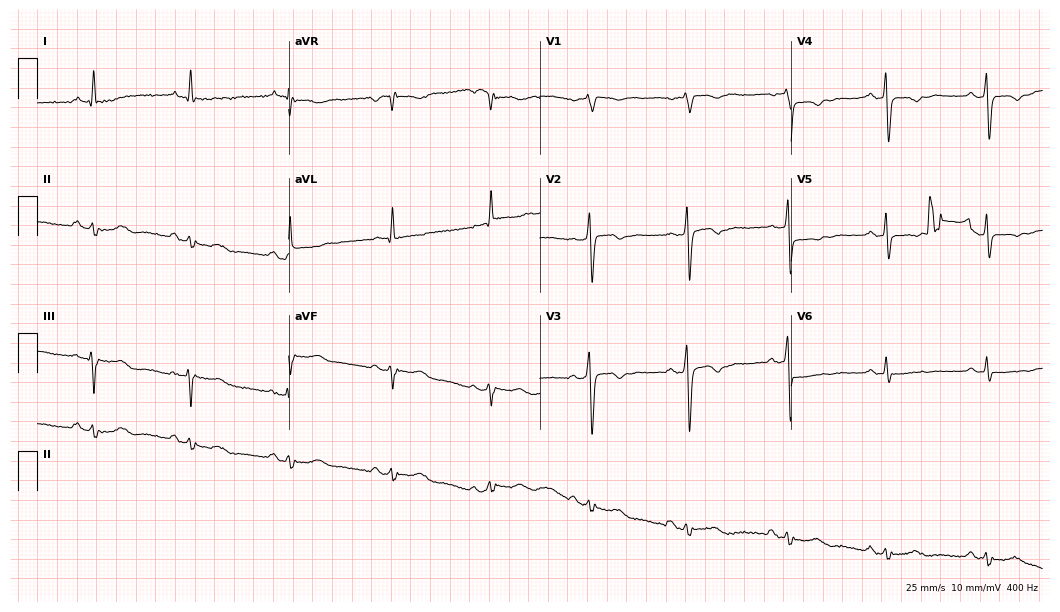
Standard 12-lead ECG recorded from a 49-year-old female patient. None of these six findings is recorded: first-degree AV block, right bundle branch block, left bundle branch block, sinus bradycardia, atrial fibrillation, sinus tachycardia. Findings outside these six are not listed.